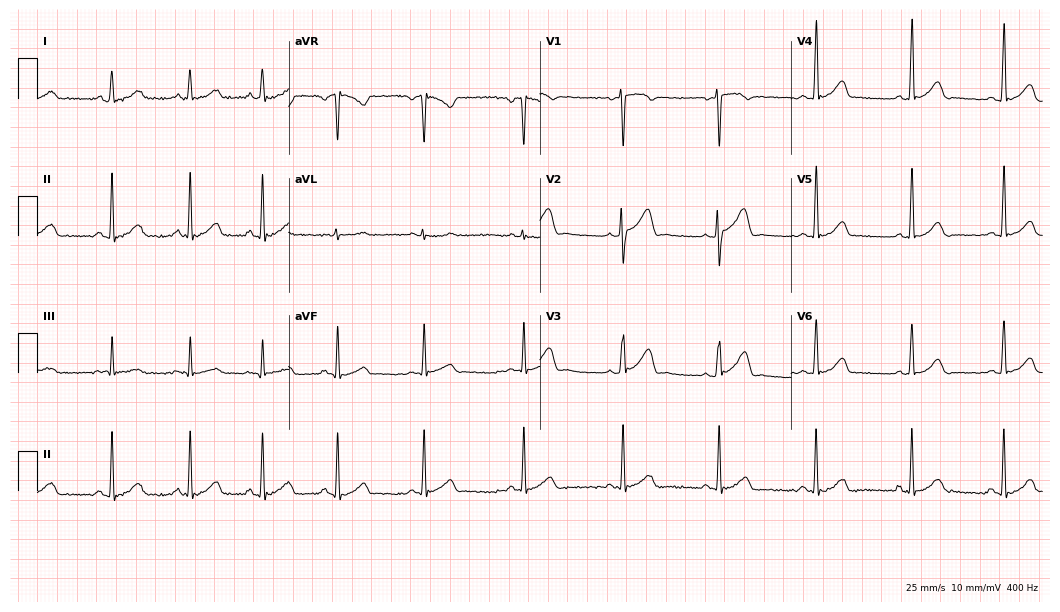
ECG (10.2-second recording at 400 Hz) — a 35-year-old female. Screened for six findings — first-degree AV block, right bundle branch block (RBBB), left bundle branch block (LBBB), sinus bradycardia, atrial fibrillation (AF), sinus tachycardia — none is recorded.